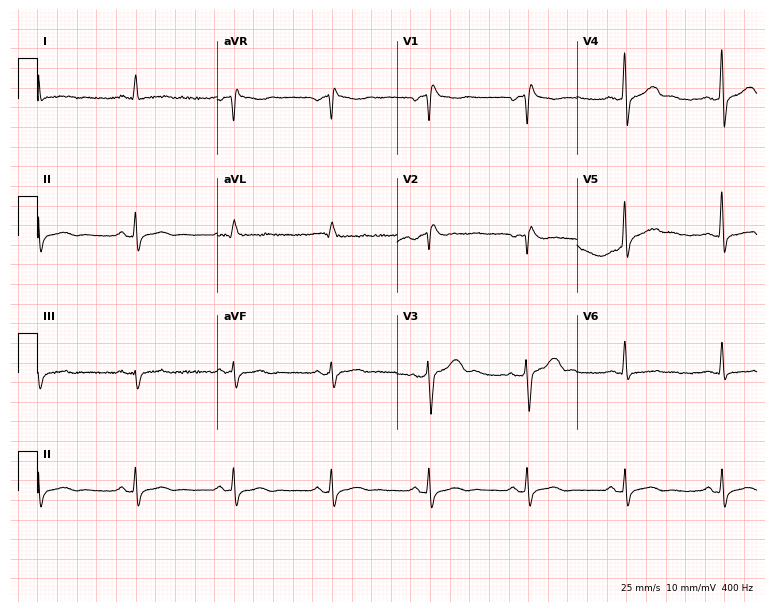
12-lead ECG from a male, 57 years old. Screened for six findings — first-degree AV block, right bundle branch block, left bundle branch block, sinus bradycardia, atrial fibrillation, sinus tachycardia — none is recorded. Findings outside these six are not listed.